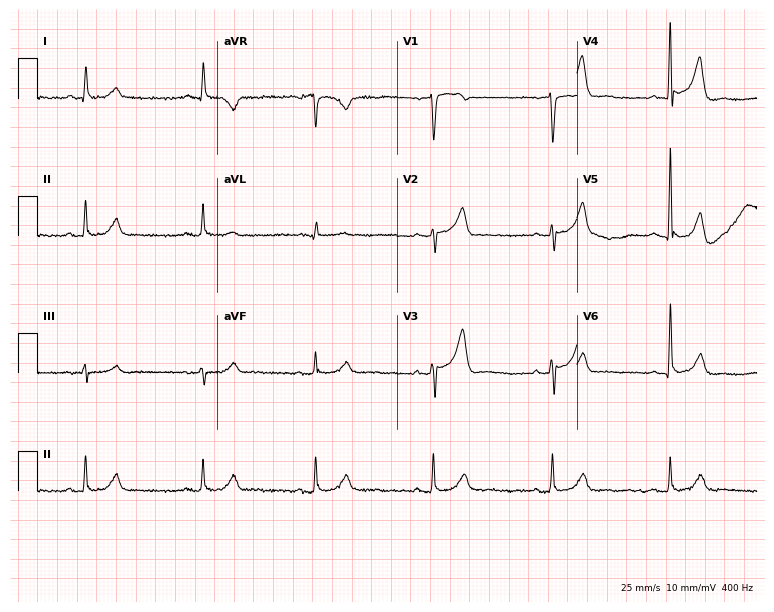
12-lead ECG from a 73-year-old male patient. Labelled as a normal ECG.